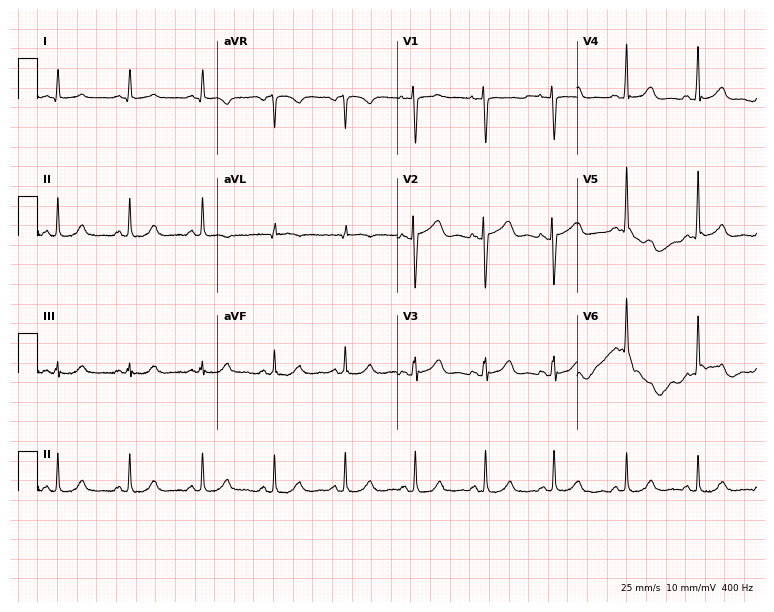
Electrocardiogram, a 53-year-old female patient. Of the six screened findings (first-degree AV block, right bundle branch block (RBBB), left bundle branch block (LBBB), sinus bradycardia, atrial fibrillation (AF), sinus tachycardia), none is recorded. Findings outside these six are not listed.